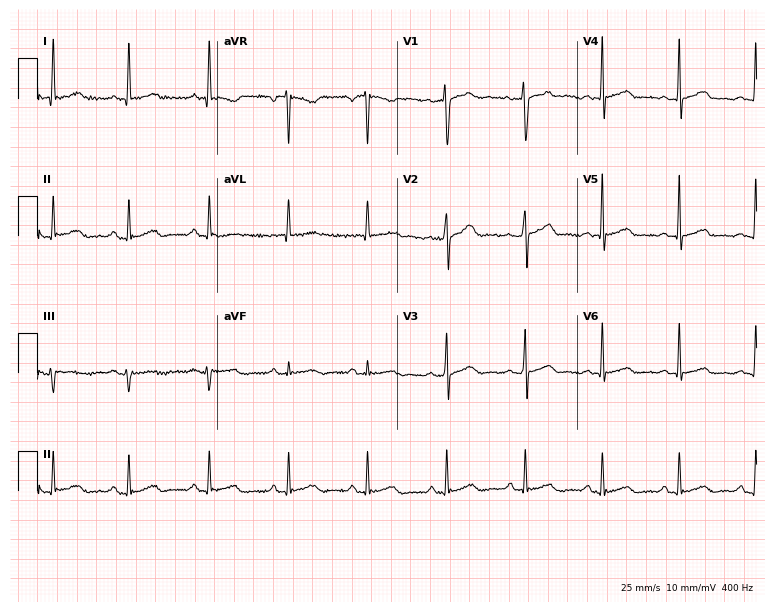
12-lead ECG from a female, 33 years old (7.3-second recording at 400 Hz). Recorded interpretation: within normal limits.